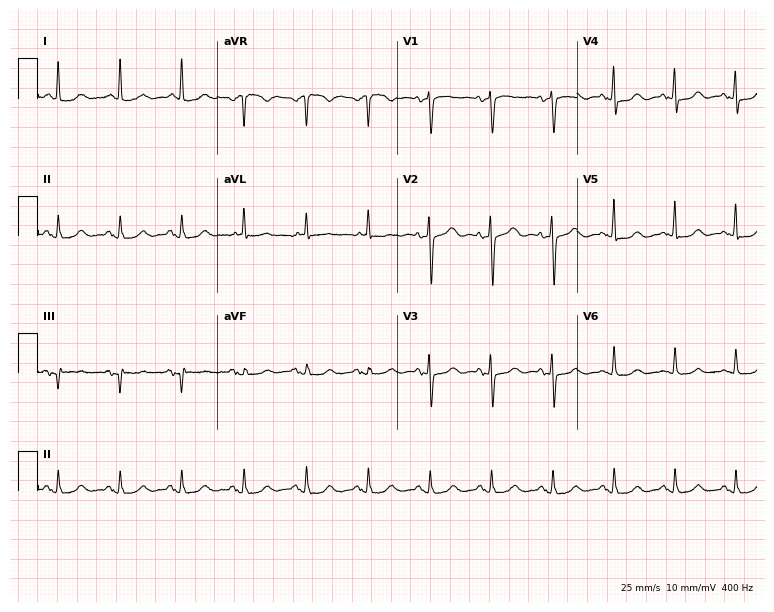
12-lead ECG (7.3-second recording at 400 Hz) from a female, 77 years old. Labelled as a normal ECG.